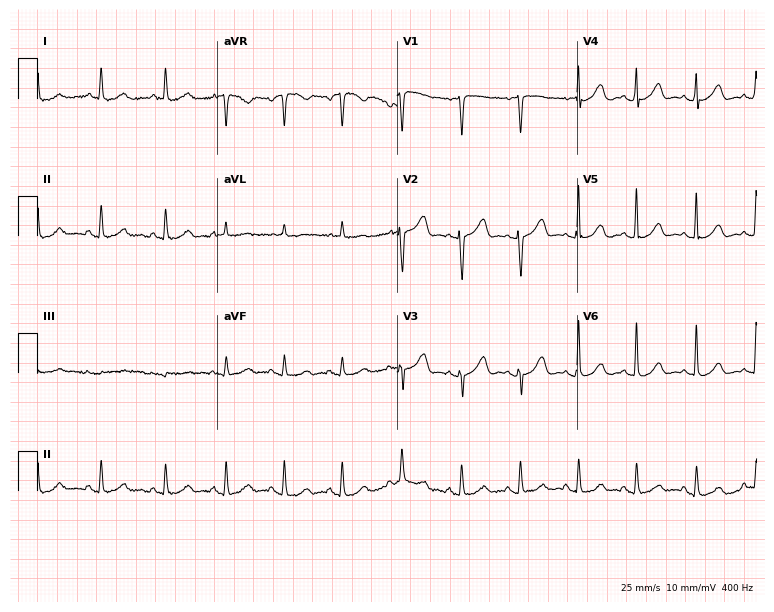
Resting 12-lead electrocardiogram (7.3-second recording at 400 Hz). Patient: a 57-year-old female. None of these six findings is recorded: first-degree AV block, right bundle branch block, left bundle branch block, sinus bradycardia, atrial fibrillation, sinus tachycardia. Other findings, if any, are not listed.